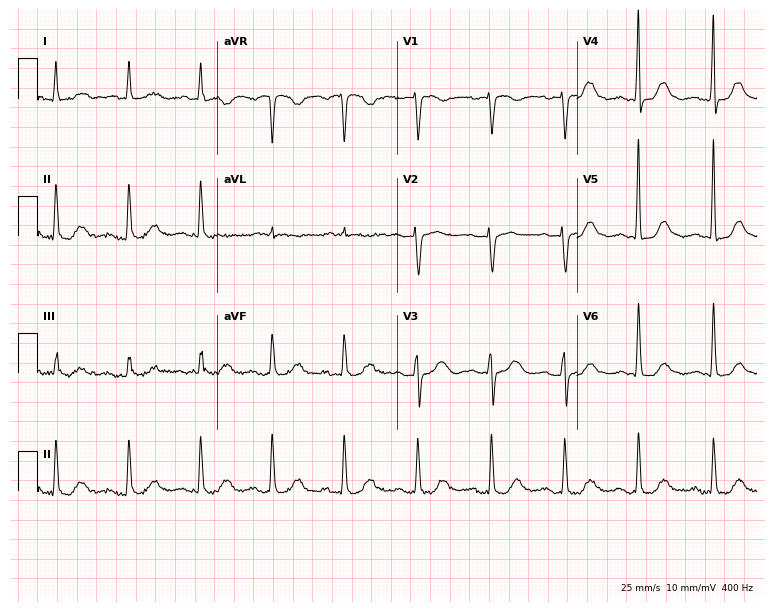
Electrocardiogram (7.3-second recording at 400 Hz), an 80-year-old female. Of the six screened findings (first-degree AV block, right bundle branch block, left bundle branch block, sinus bradycardia, atrial fibrillation, sinus tachycardia), none is recorded. Only these six findings were labelled.